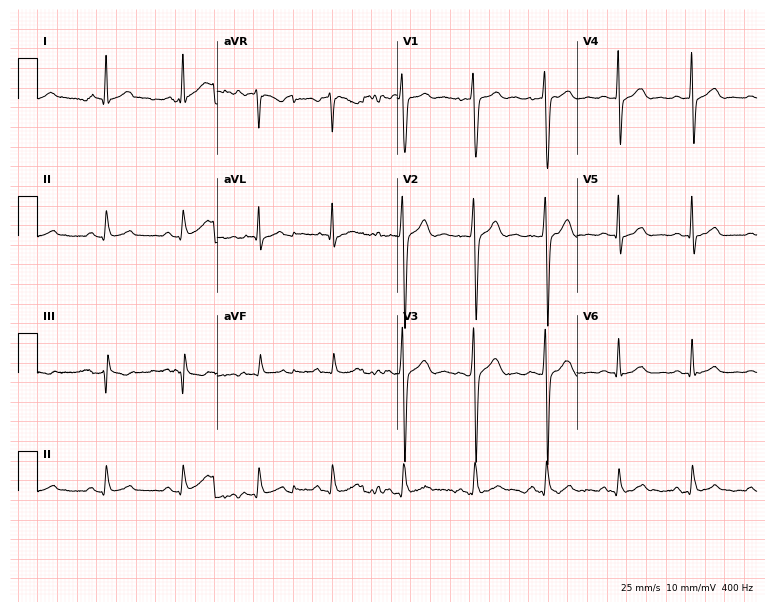
ECG — a male patient, 47 years old. Labelled as a normal ECG.